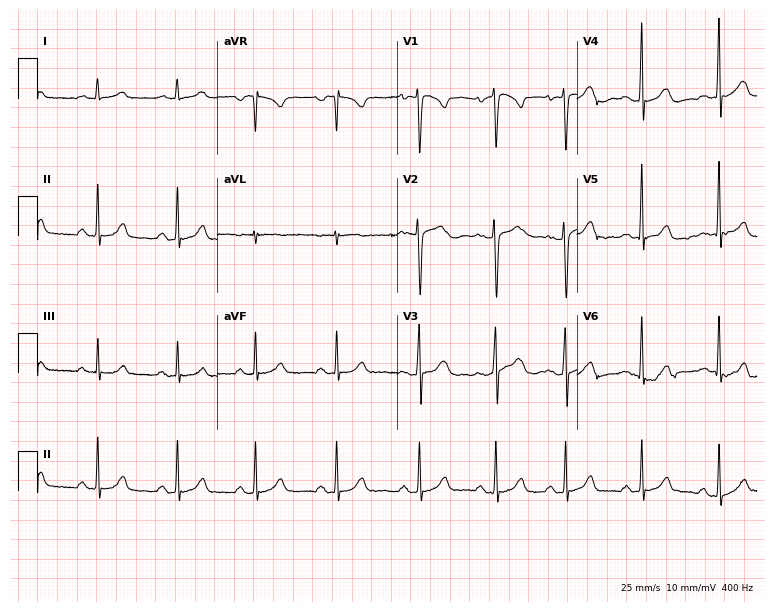
12-lead ECG from a female, 27 years old. Labelled as a normal ECG.